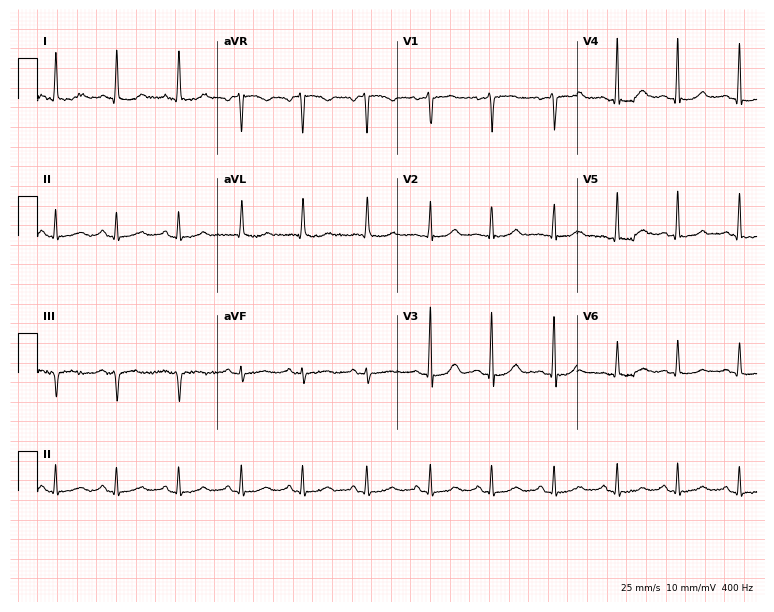
Standard 12-lead ECG recorded from a female patient, 57 years old (7.3-second recording at 400 Hz). Read as a normal ECG.